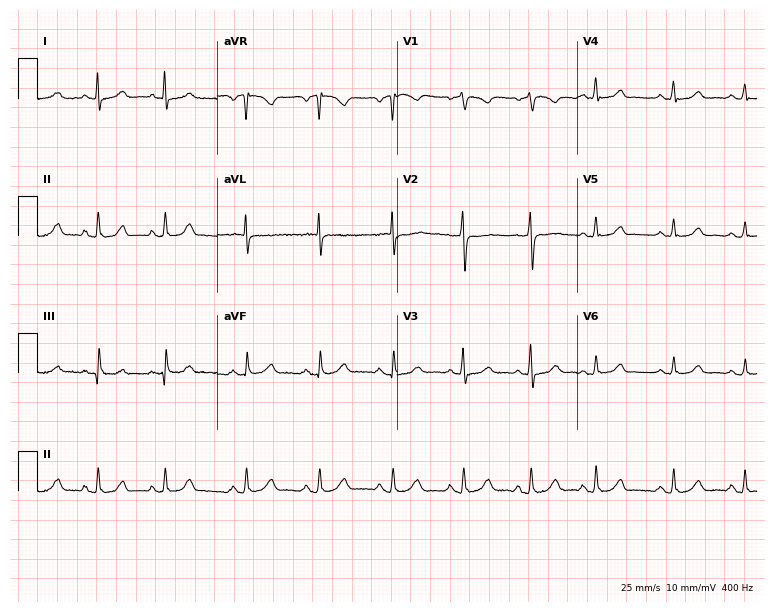
Electrocardiogram, a female, 59 years old. Overall reading on record: normal ECG.